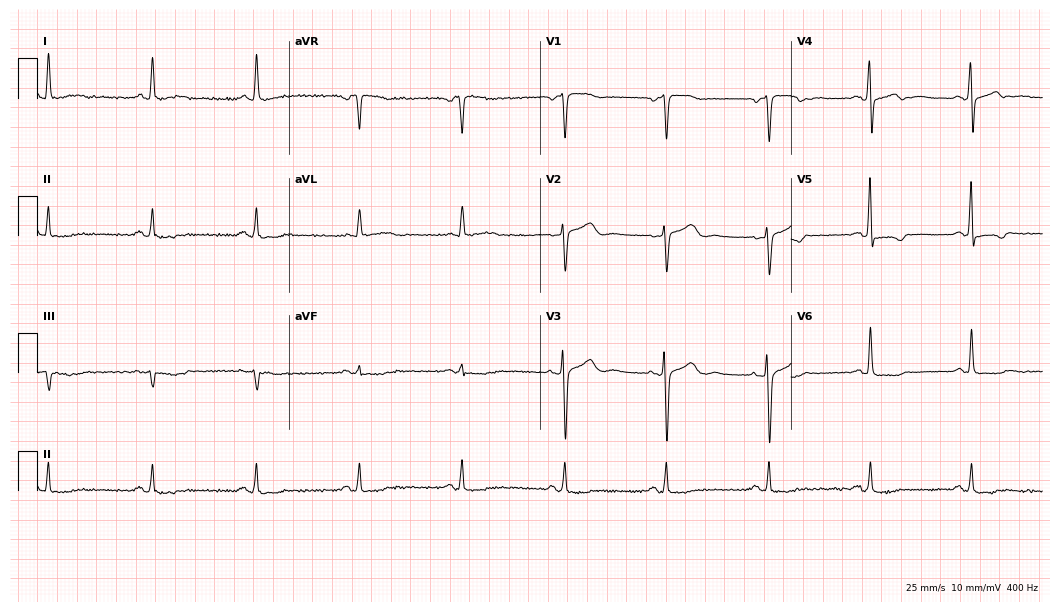
12-lead ECG from a 56-year-old woman. Screened for six findings — first-degree AV block, right bundle branch block, left bundle branch block, sinus bradycardia, atrial fibrillation, sinus tachycardia — none is recorded.